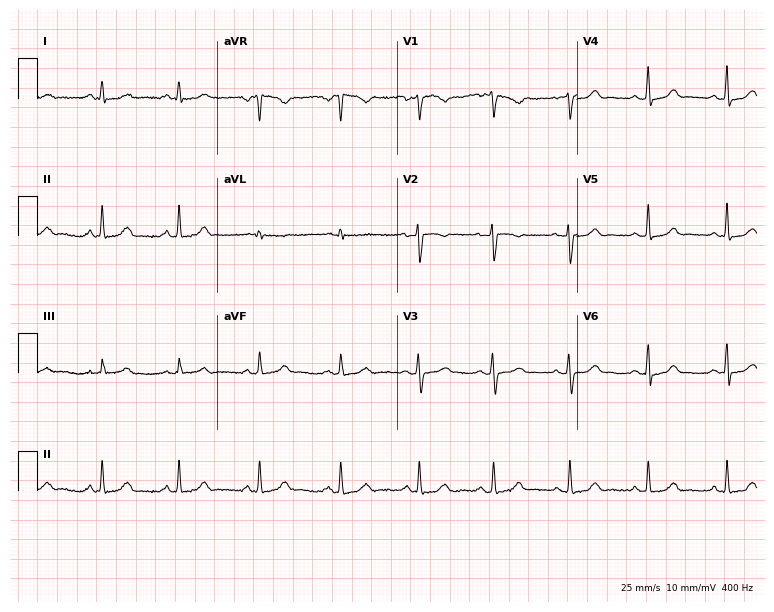
ECG (7.3-second recording at 400 Hz) — a female patient, 19 years old. Labelled as a normal ECG.